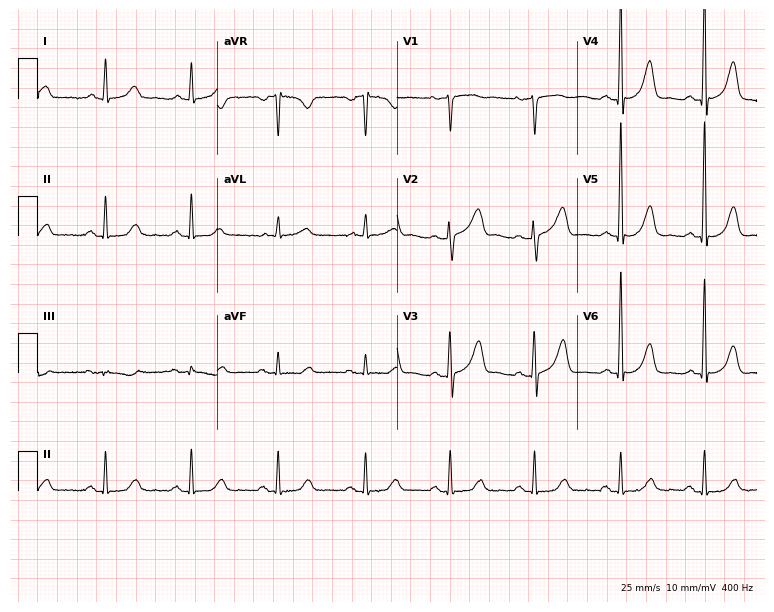
12-lead ECG from a female, 66 years old. Screened for six findings — first-degree AV block, right bundle branch block, left bundle branch block, sinus bradycardia, atrial fibrillation, sinus tachycardia — none is recorded.